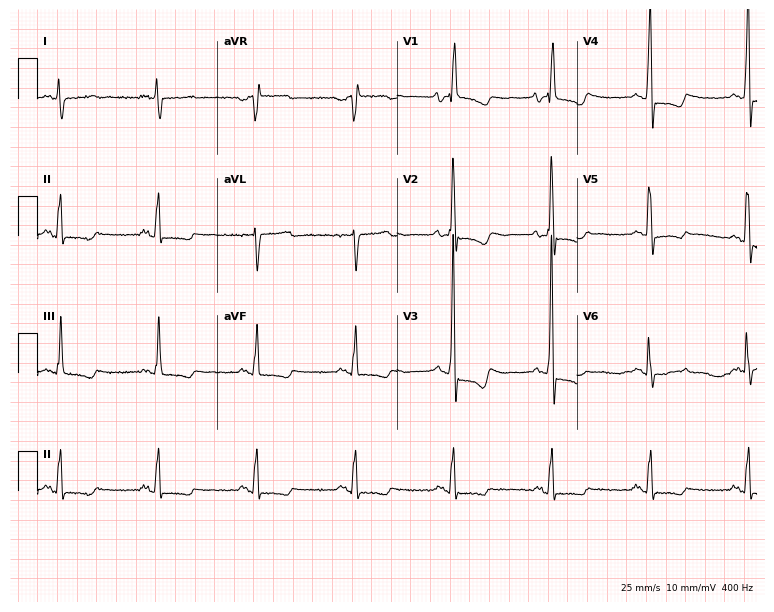
Resting 12-lead electrocardiogram. Patient: a 48-year-old woman. None of these six findings is recorded: first-degree AV block, right bundle branch block, left bundle branch block, sinus bradycardia, atrial fibrillation, sinus tachycardia. Other findings, if any, are not listed.